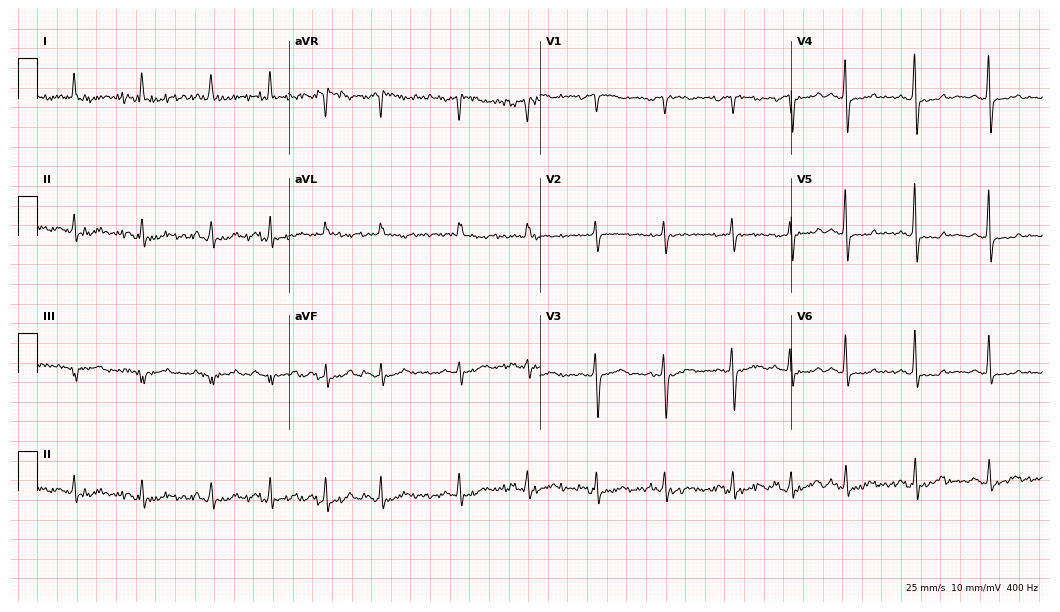
12-lead ECG from an 85-year-old woman (10.2-second recording at 400 Hz). No first-degree AV block, right bundle branch block, left bundle branch block, sinus bradycardia, atrial fibrillation or sinus tachycardia recorded for this tracing.